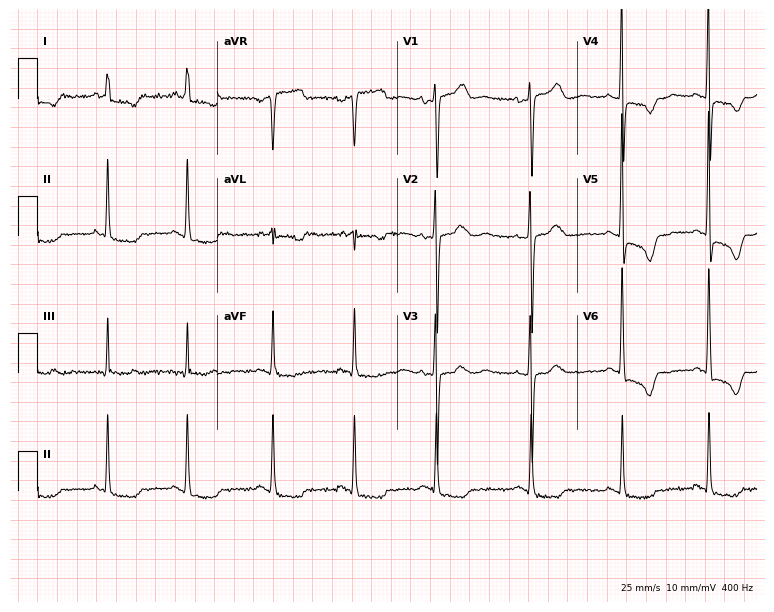
Electrocardiogram (7.3-second recording at 400 Hz), a woman, 62 years old. Of the six screened findings (first-degree AV block, right bundle branch block, left bundle branch block, sinus bradycardia, atrial fibrillation, sinus tachycardia), none is recorded.